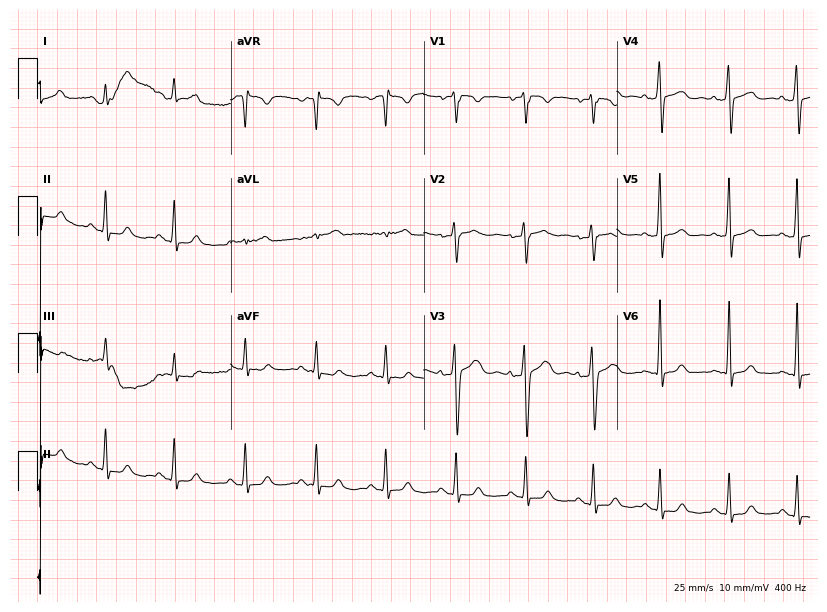
12-lead ECG from a 25-year-old male. Recorded interpretation: within normal limits.